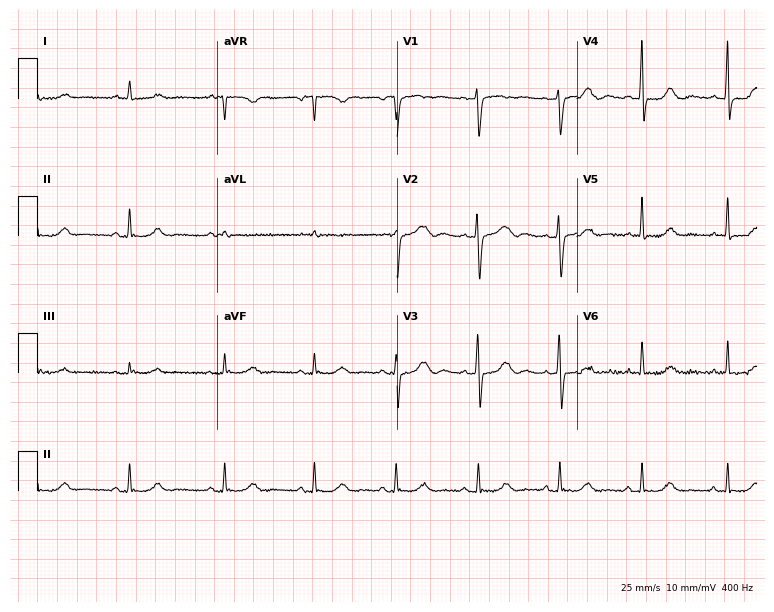
Resting 12-lead electrocardiogram (7.3-second recording at 400 Hz). Patient: a female, 62 years old. None of these six findings is recorded: first-degree AV block, right bundle branch block, left bundle branch block, sinus bradycardia, atrial fibrillation, sinus tachycardia.